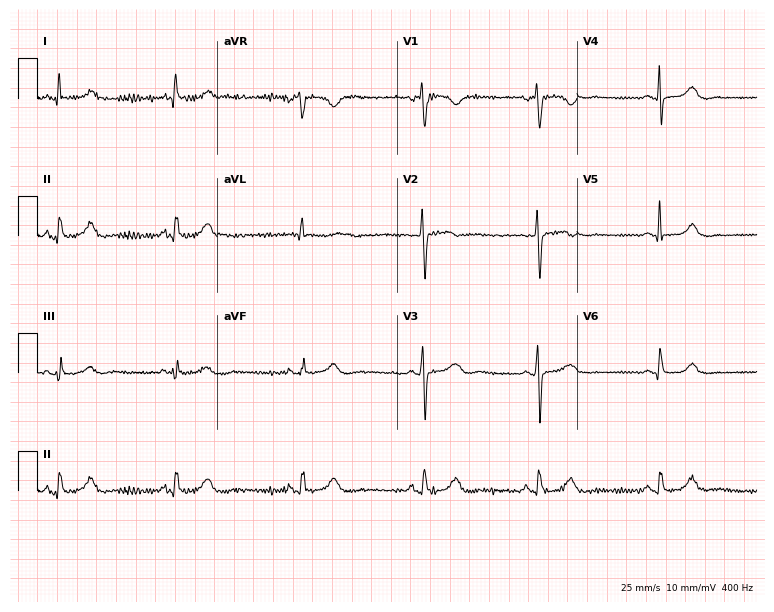
Standard 12-lead ECG recorded from a female patient, 54 years old. The tracing shows sinus bradycardia (a sinus rate of 50 beats per minute or less).